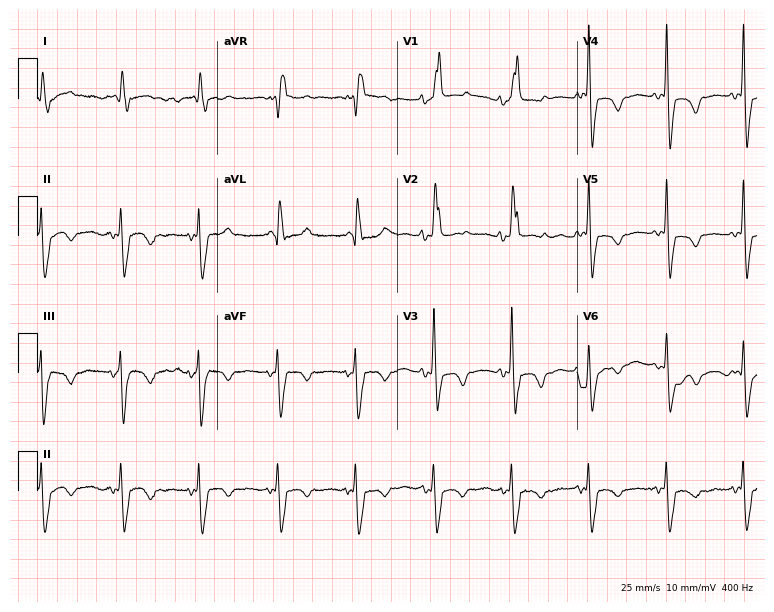
ECG (7.3-second recording at 400 Hz) — a female, 87 years old. Findings include right bundle branch block (RBBB).